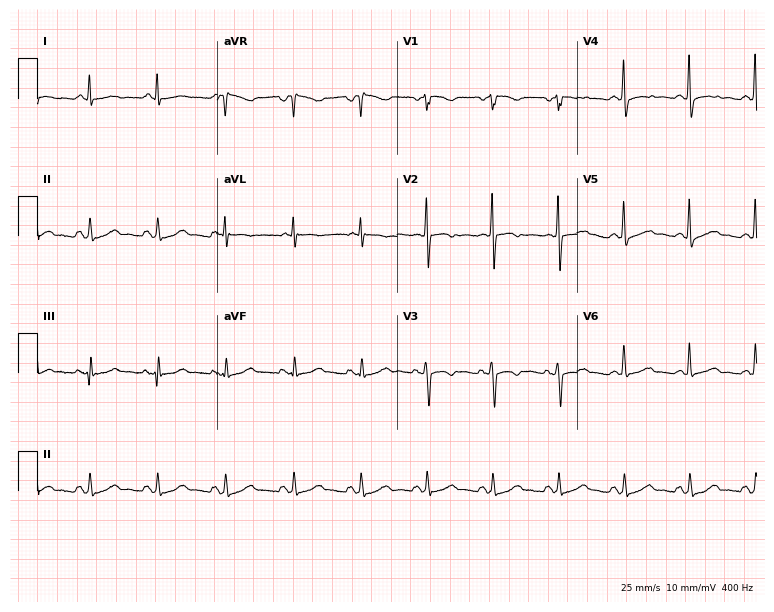
12-lead ECG from a 60-year-old female. Screened for six findings — first-degree AV block, right bundle branch block, left bundle branch block, sinus bradycardia, atrial fibrillation, sinus tachycardia — none is recorded. Findings outside these six are not listed.